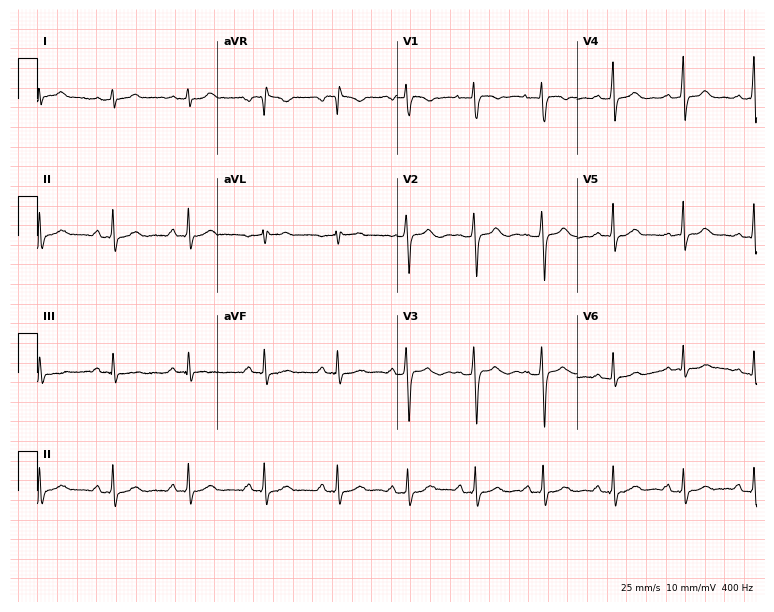
Electrocardiogram (7.3-second recording at 400 Hz), a 27-year-old female patient. Of the six screened findings (first-degree AV block, right bundle branch block (RBBB), left bundle branch block (LBBB), sinus bradycardia, atrial fibrillation (AF), sinus tachycardia), none is recorded.